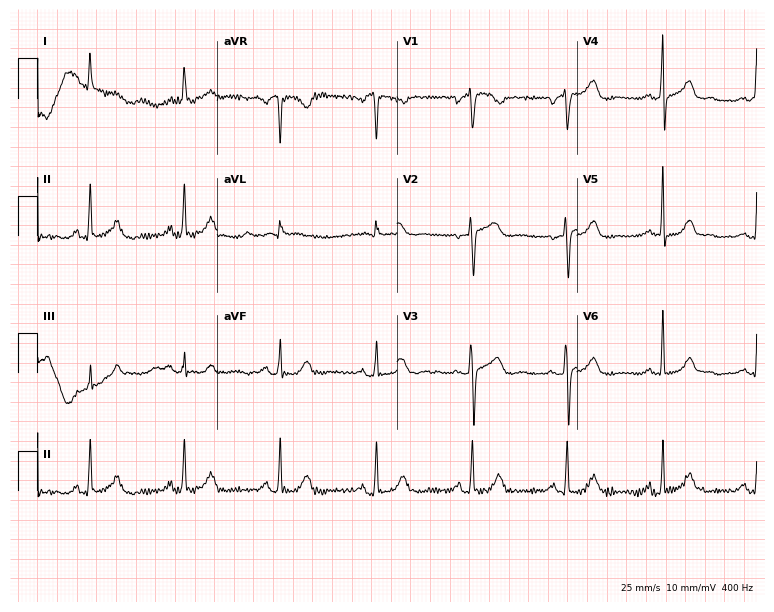
12-lead ECG from a 70-year-old woman. Screened for six findings — first-degree AV block, right bundle branch block, left bundle branch block, sinus bradycardia, atrial fibrillation, sinus tachycardia — none is recorded.